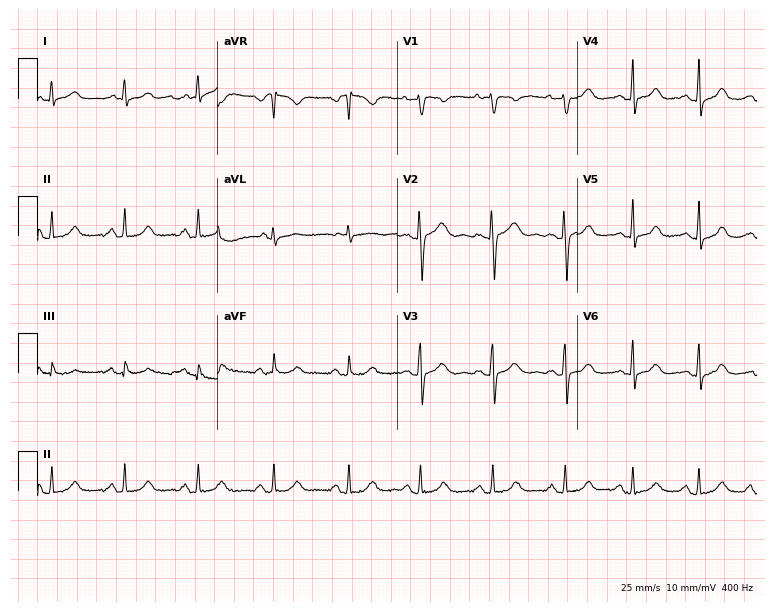
Electrocardiogram, a female patient, 19 years old. Overall reading on record: normal ECG.